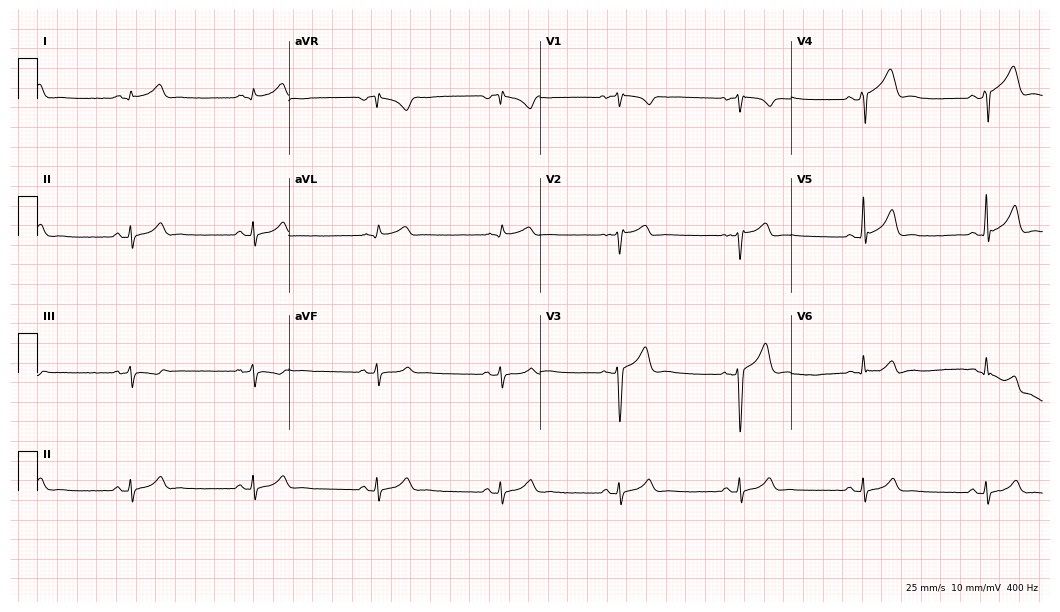
Electrocardiogram (10.2-second recording at 400 Hz), a 32-year-old male. Overall reading on record: normal ECG.